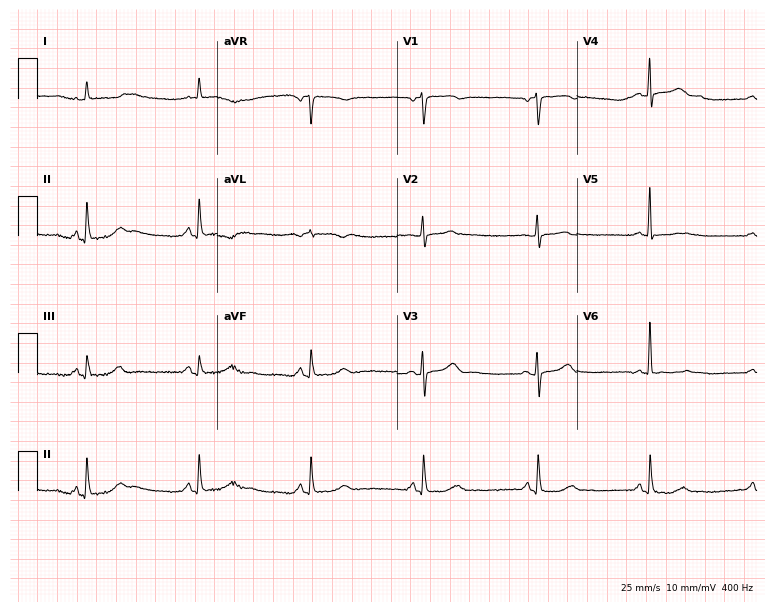
Resting 12-lead electrocardiogram (7.3-second recording at 400 Hz). Patient: a female, 67 years old. None of these six findings is recorded: first-degree AV block, right bundle branch block, left bundle branch block, sinus bradycardia, atrial fibrillation, sinus tachycardia.